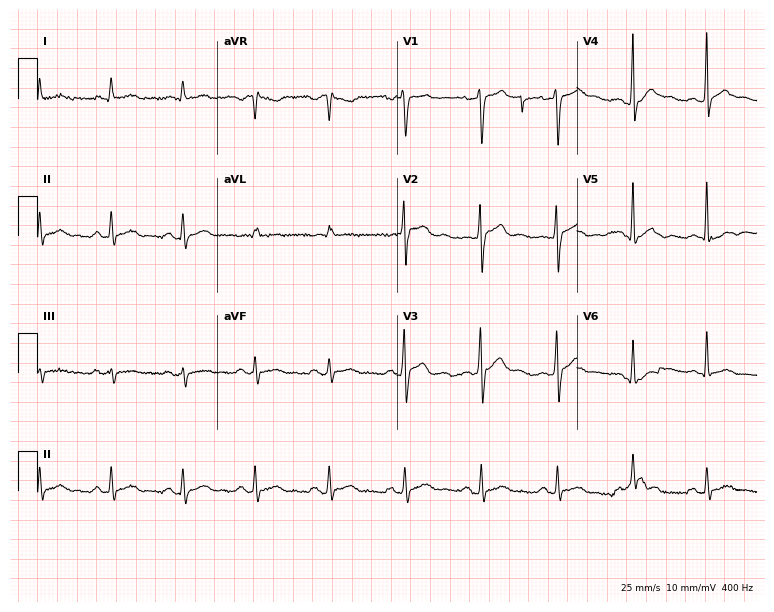
ECG — a male, 34 years old. Screened for six findings — first-degree AV block, right bundle branch block, left bundle branch block, sinus bradycardia, atrial fibrillation, sinus tachycardia — none is recorded.